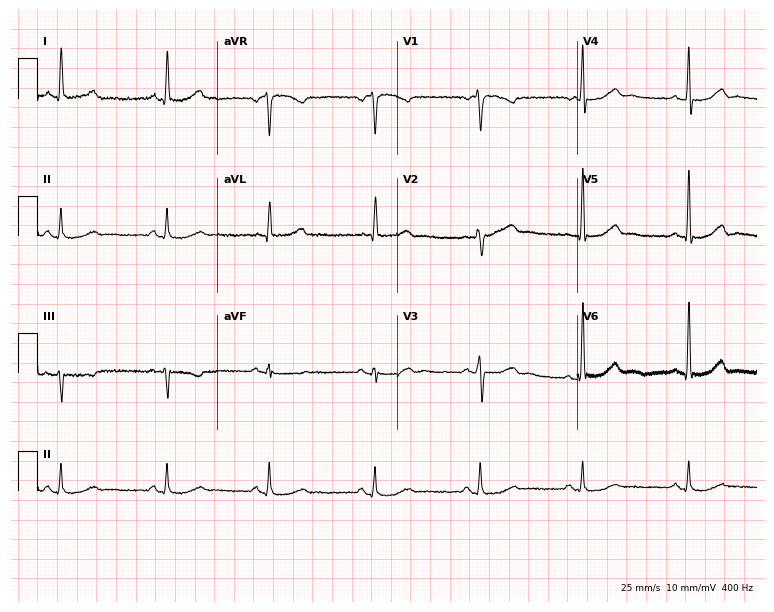
Electrocardiogram (7.3-second recording at 400 Hz), a female patient, 50 years old. Overall reading on record: normal ECG.